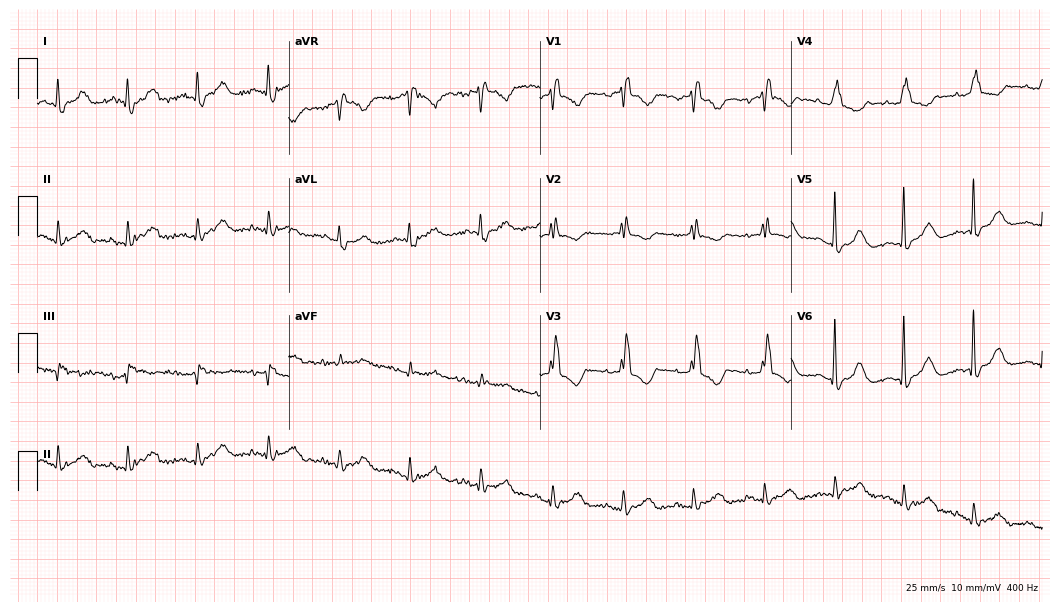
ECG (10.2-second recording at 400 Hz) — an 80-year-old woman. Screened for six findings — first-degree AV block, right bundle branch block, left bundle branch block, sinus bradycardia, atrial fibrillation, sinus tachycardia — none is recorded. Other findings, if any, are not listed.